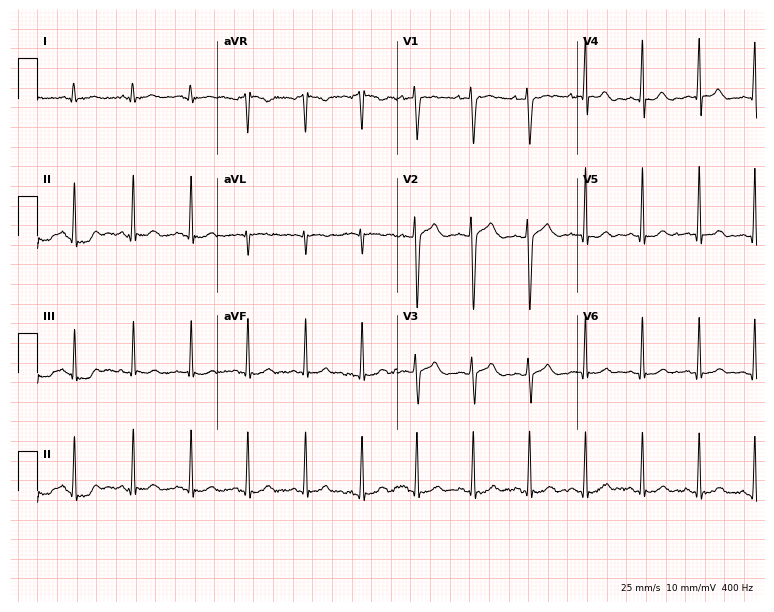
Electrocardiogram, a woman, 19 years old. Interpretation includes sinus tachycardia (a sinus rate of 100 beats per minute or more).